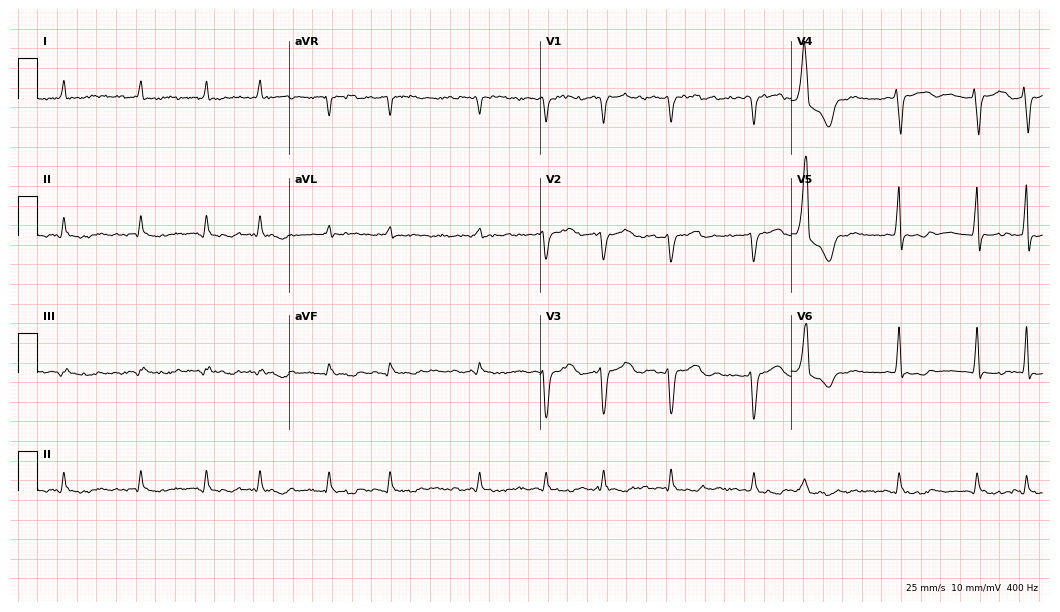
12-lead ECG from a 64-year-old man. Shows atrial fibrillation.